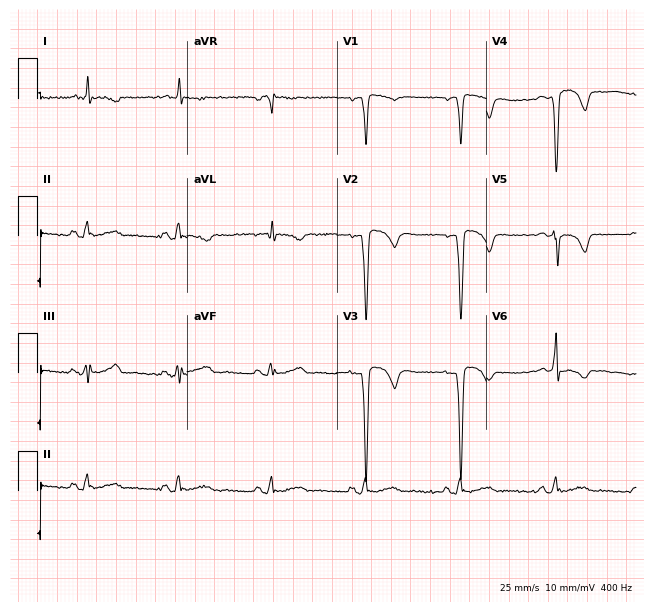
Resting 12-lead electrocardiogram. Patient: a woman, 72 years old. None of these six findings is recorded: first-degree AV block, right bundle branch block (RBBB), left bundle branch block (LBBB), sinus bradycardia, atrial fibrillation (AF), sinus tachycardia.